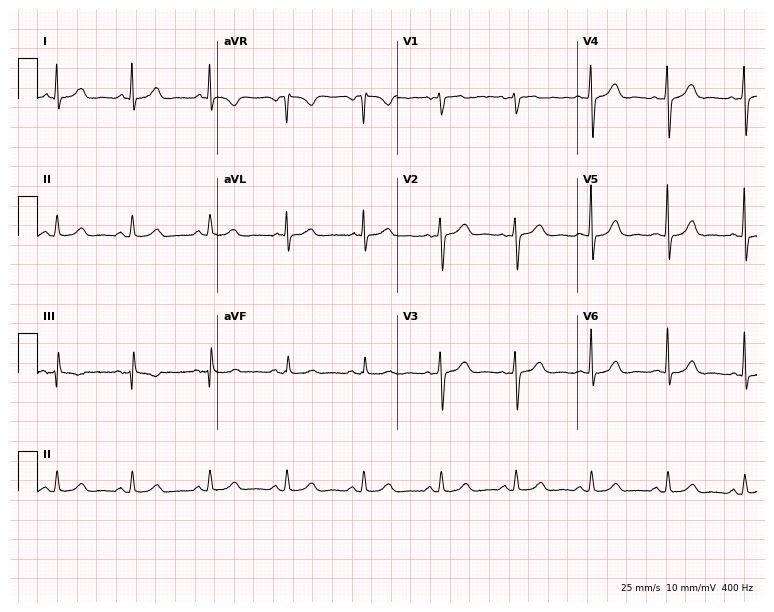
12-lead ECG (7.3-second recording at 400 Hz) from a 54-year-old woman. Labelled as a normal ECG.